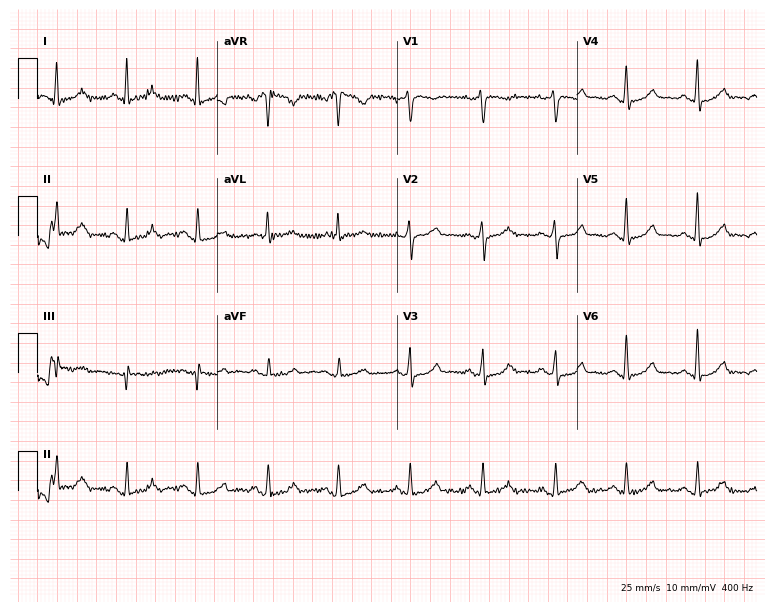
Electrocardiogram, a 50-year-old woman. Overall reading on record: normal ECG.